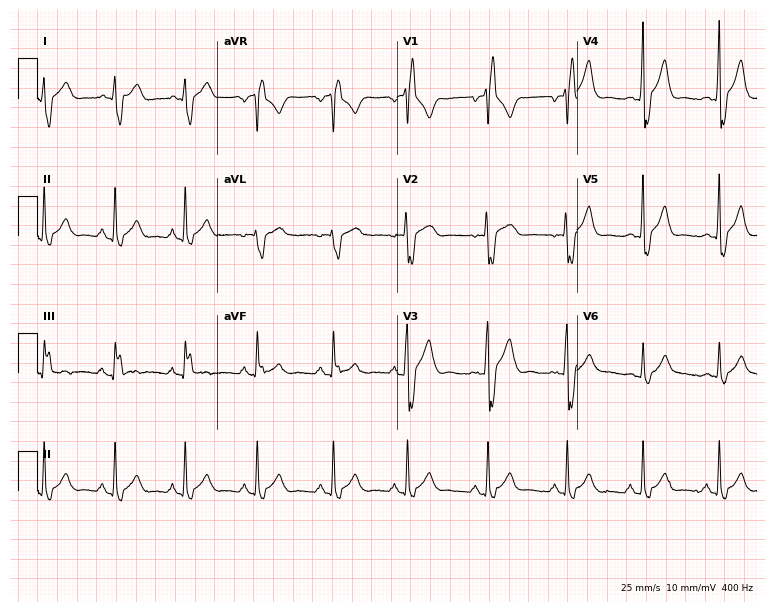
12-lead ECG from a 25-year-old male (7.3-second recording at 400 Hz). Shows right bundle branch block.